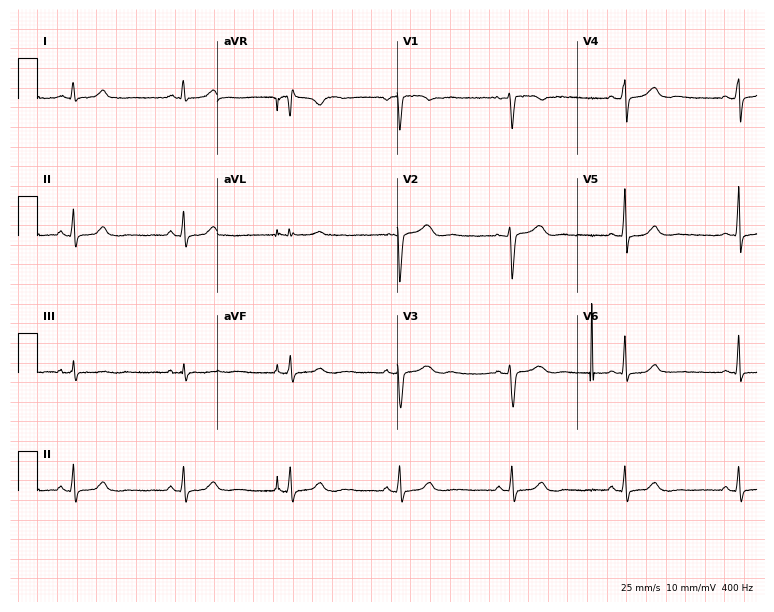
ECG (7.3-second recording at 400 Hz) — a female, 41 years old. Labelled as a normal ECG.